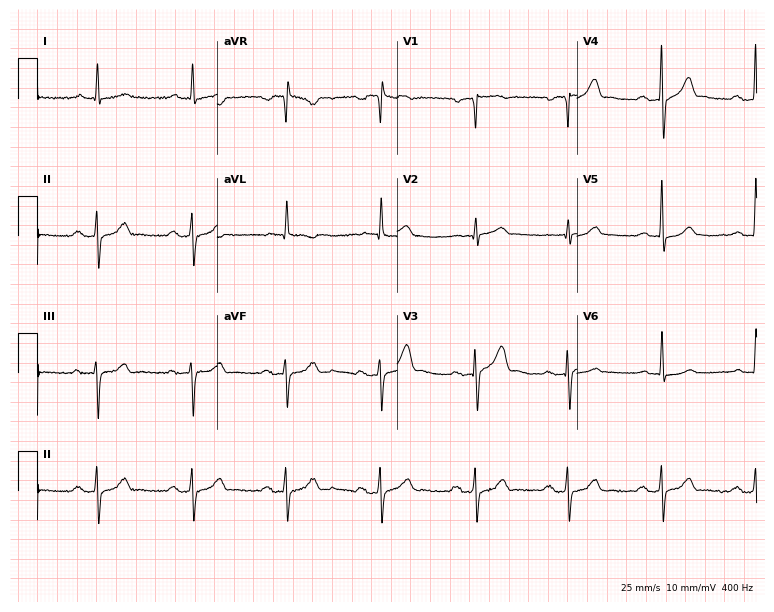
12-lead ECG from a 75-year-old male (7.3-second recording at 400 Hz). No first-degree AV block, right bundle branch block (RBBB), left bundle branch block (LBBB), sinus bradycardia, atrial fibrillation (AF) or sinus tachycardia recorded for this tracing.